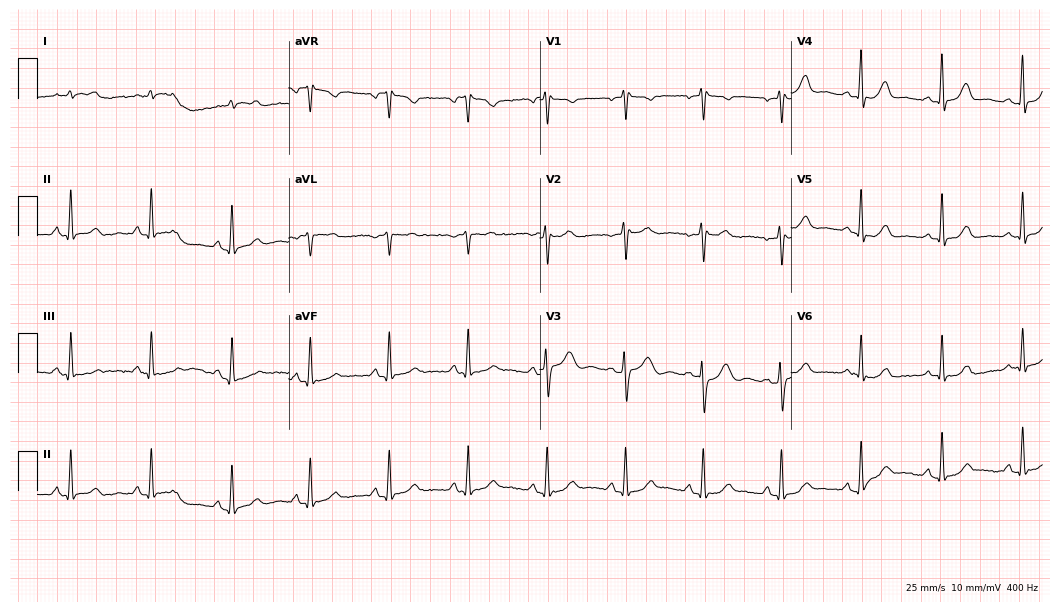
Standard 12-lead ECG recorded from a 51-year-old woman (10.2-second recording at 400 Hz). Read as a normal ECG.